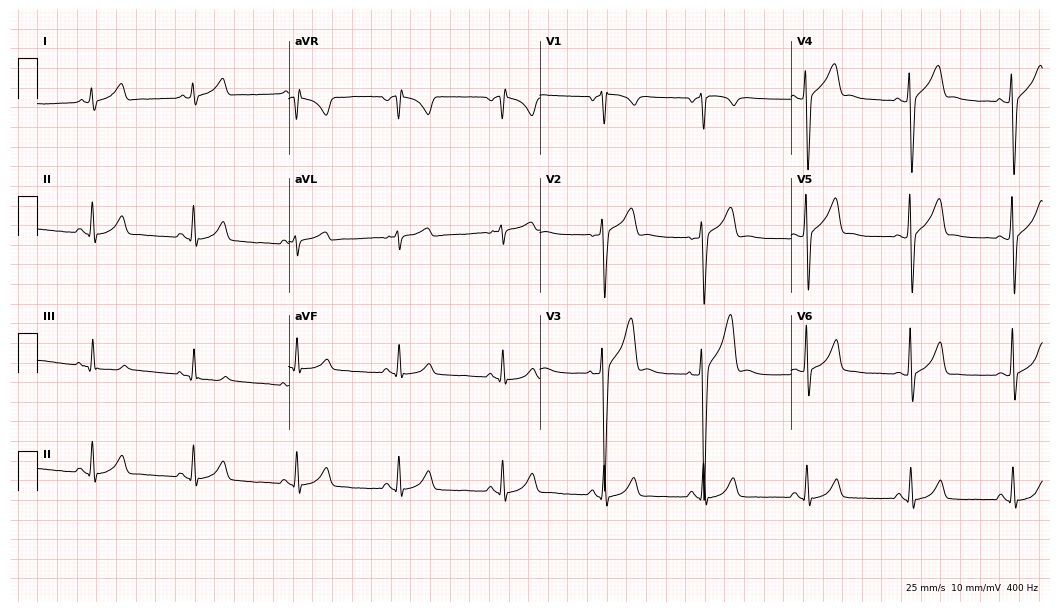
Resting 12-lead electrocardiogram (10.2-second recording at 400 Hz). Patient: a male, 28 years old. Read as a normal ECG.